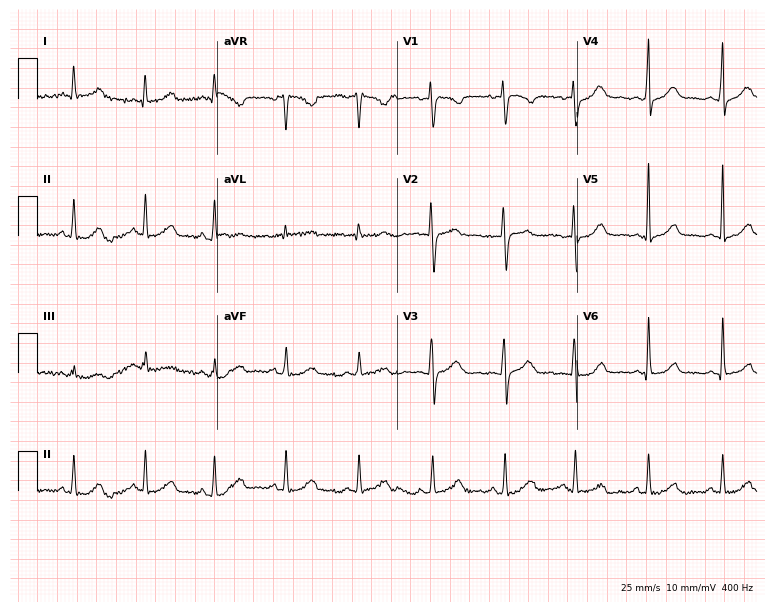
ECG (7.3-second recording at 400 Hz) — a woman, 29 years old. Screened for six findings — first-degree AV block, right bundle branch block (RBBB), left bundle branch block (LBBB), sinus bradycardia, atrial fibrillation (AF), sinus tachycardia — none is recorded. Other findings, if any, are not listed.